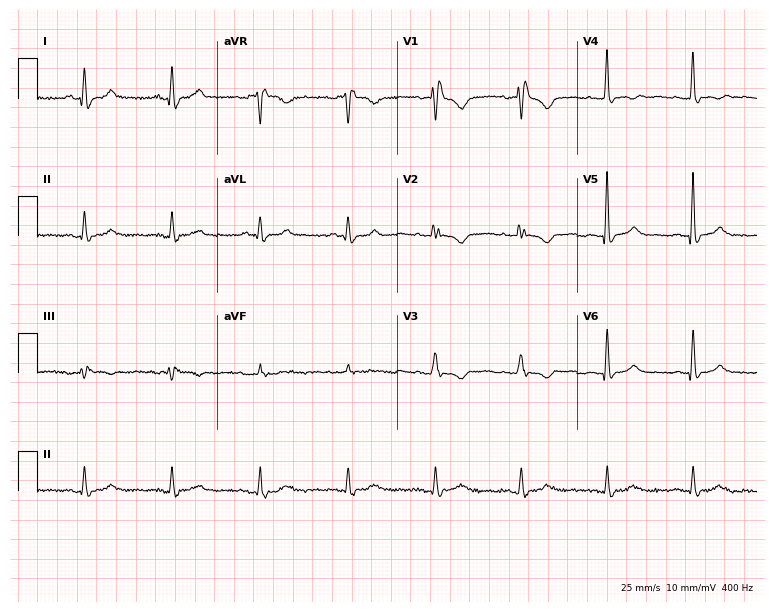
12-lead ECG from a female, 51 years old. Findings include right bundle branch block.